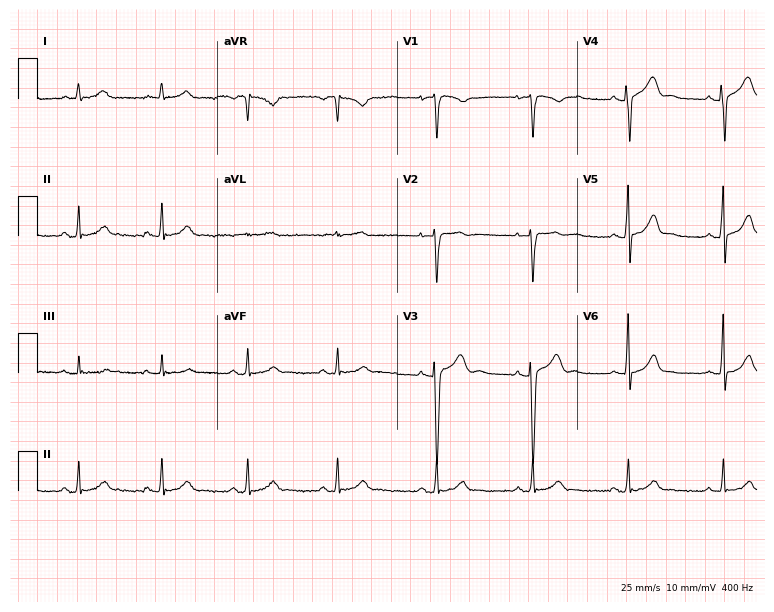
Standard 12-lead ECG recorded from a female, 27 years old (7.3-second recording at 400 Hz). Read as a normal ECG.